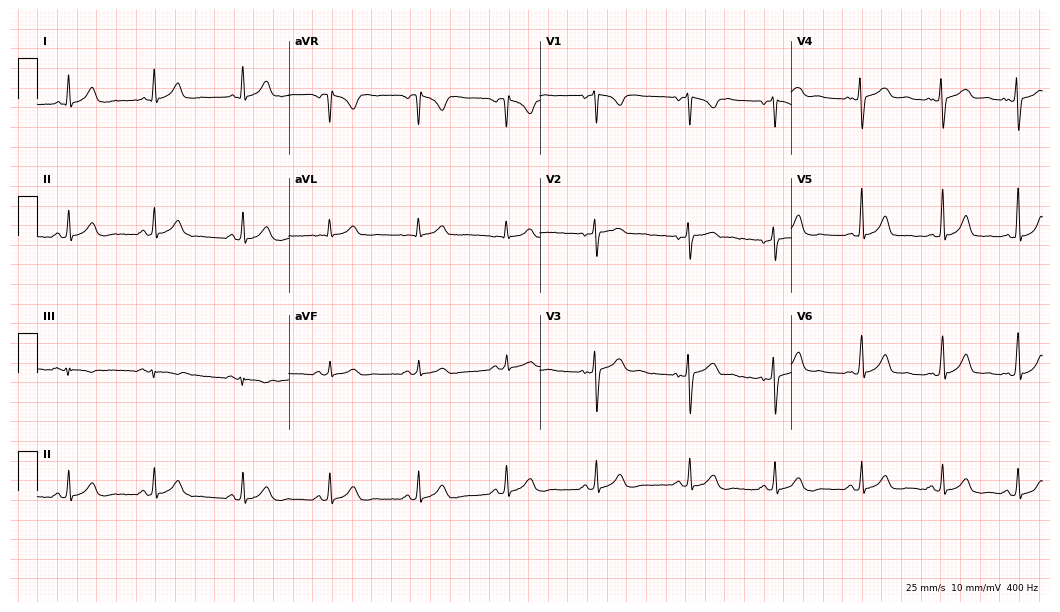
12-lead ECG from a female patient, 25 years old (10.2-second recording at 400 Hz). Recorded interpretation: within normal limits.